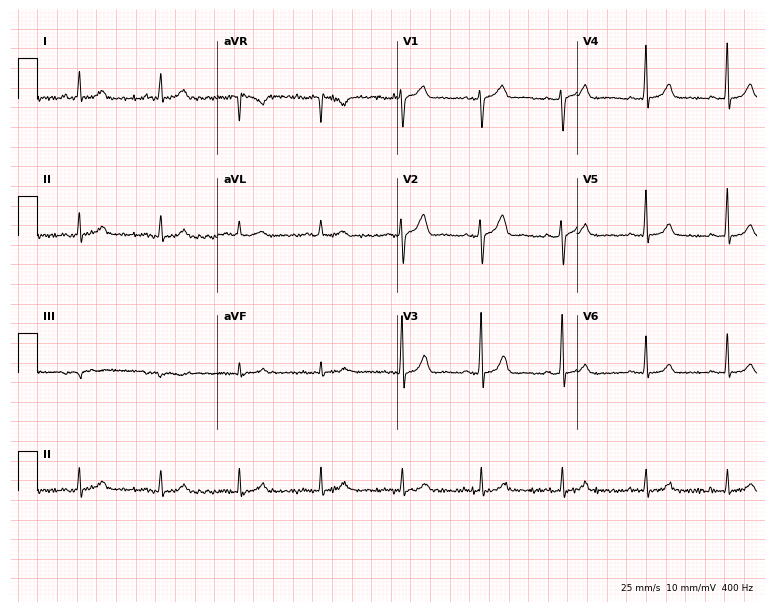
12-lead ECG from a 51-year-old male (7.3-second recording at 400 Hz). Recorded interpretation: within normal limits.